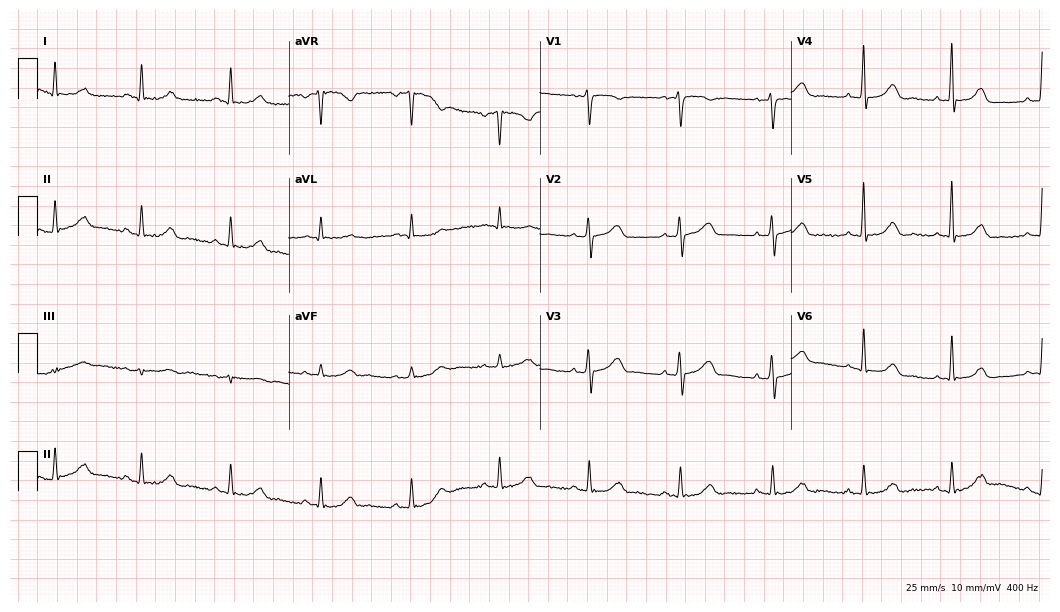
ECG — a female patient, 64 years old. Labelled as a normal ECG.